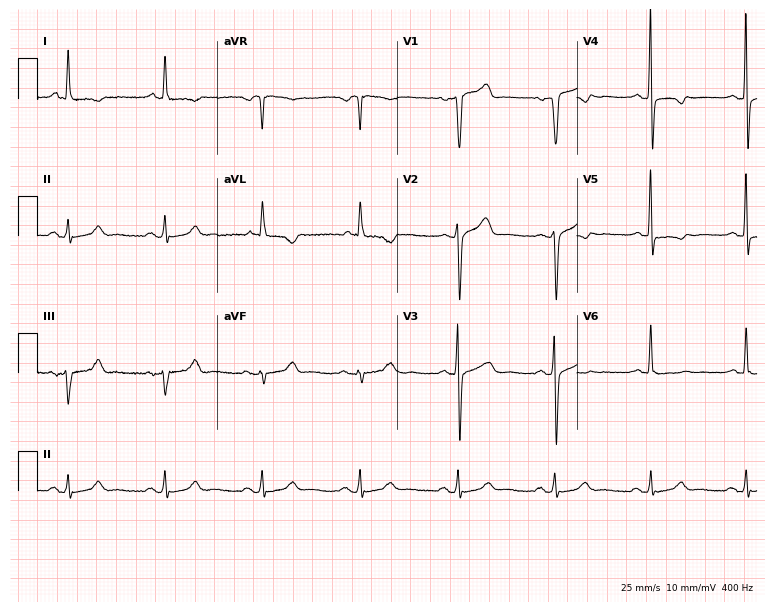
Resting 12-lead electrocardiogram (7.3-second recording at 400 Hz). Patient: a 53-year-old male. None of these six findings is recorded: first-degree AV block, right bundle branch block (RBBB), left bundle branch block (LBBB), sinus bradycardia, atrial fibrillation (AF), sinus tachycardia. Other findings, if any, are not listed.